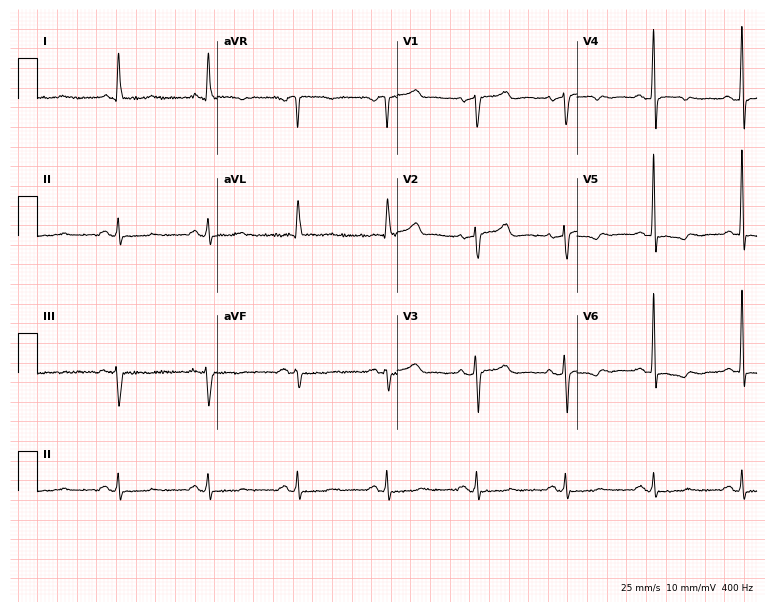
Electrocardiogram (7.3-second recording at 400 Hz), a 65-year-old female. Of the six screened findings (first-degree AV block, right bundle branch block, left bundle branch block, sinus bradycardia, atrial fibrillation, sinus tachycardia), none is recorded. Other findings, if any, are not listed.